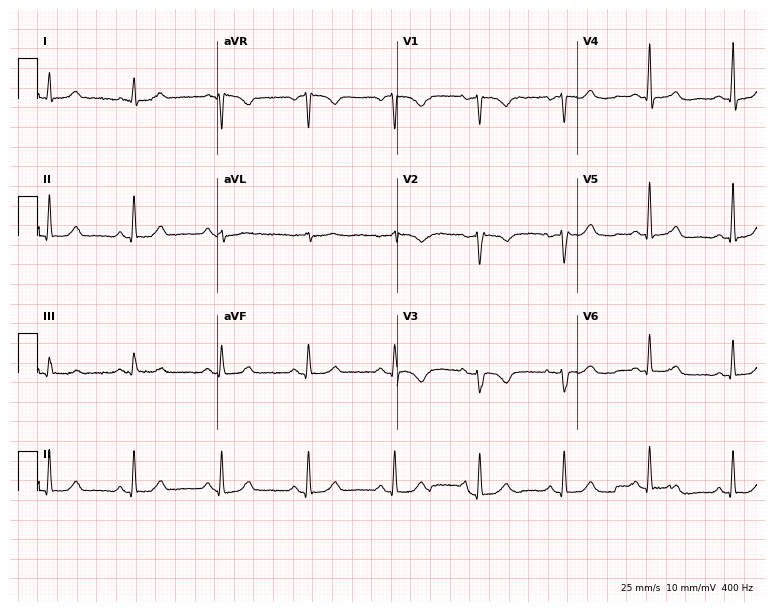
ECG — a 67-year-old woman. Labelled as a normal ECG.